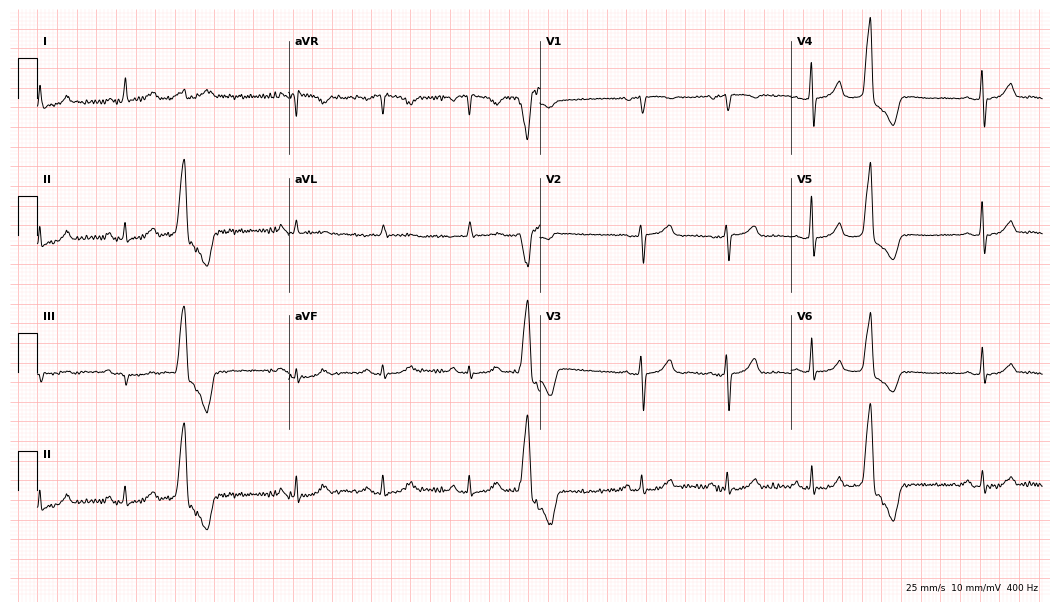
ECG — a female, 73 years old. Screened for six findings — first-degree AV block, right bundle branch block, left bundle branch block, sinus bradycardia, atrial fibrillation, sinus tachycardia — none is recorded. Other findings, if any, are not listed.